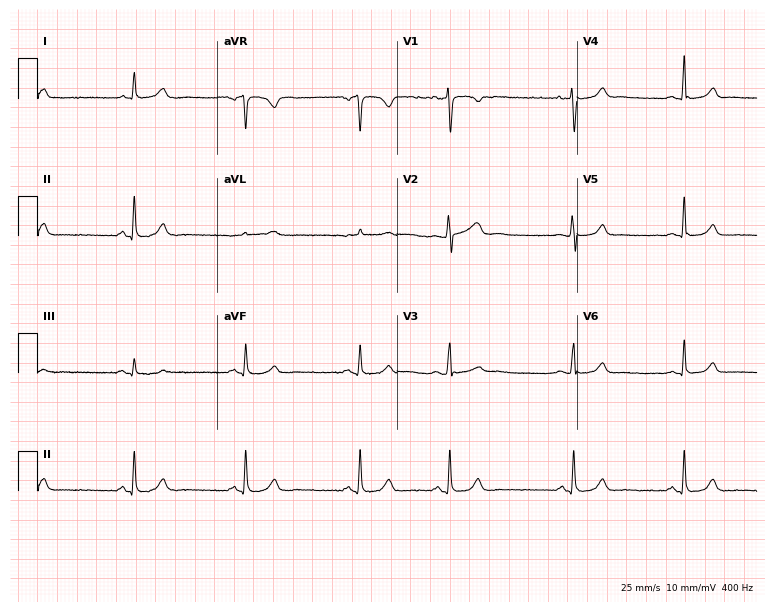
ECG — a woman, 24 years old. Screened for six findings — first-degree AV block, right bundle branch block, left bundle branch block, sinus bradycardia, atrial fibrillation, sinus tachycardia — none is recorded. Findings outside these six are not listed.